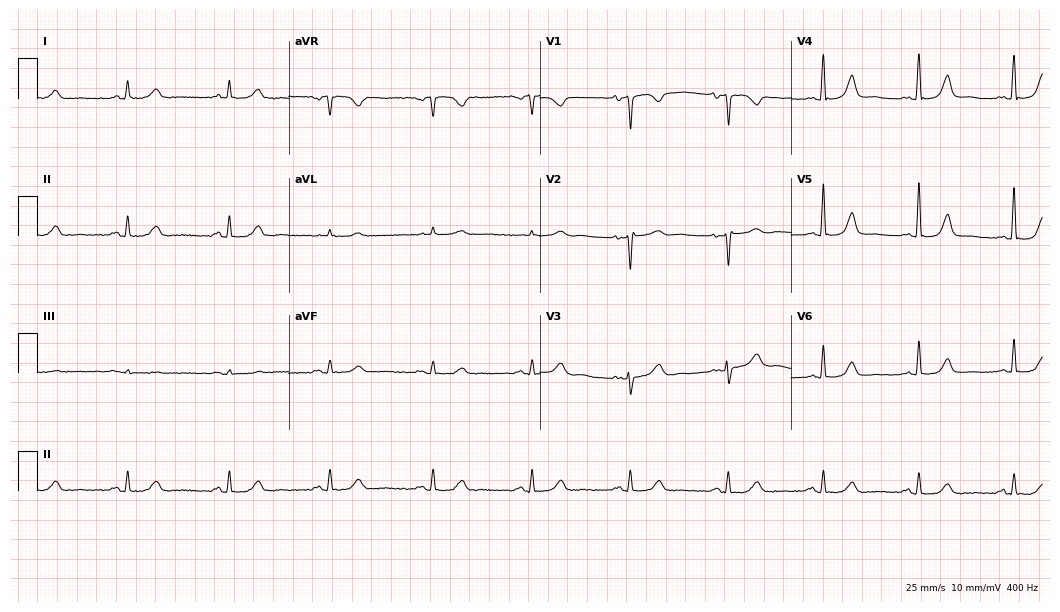
Electrocardiogram, an 85-year-old female patient. Of the six screened findings (first-degree AV block, right bundle branch block, left bundle branch block, sinus bradycardia, atrial fibrillation, sinus tachycardia), none is recorded.